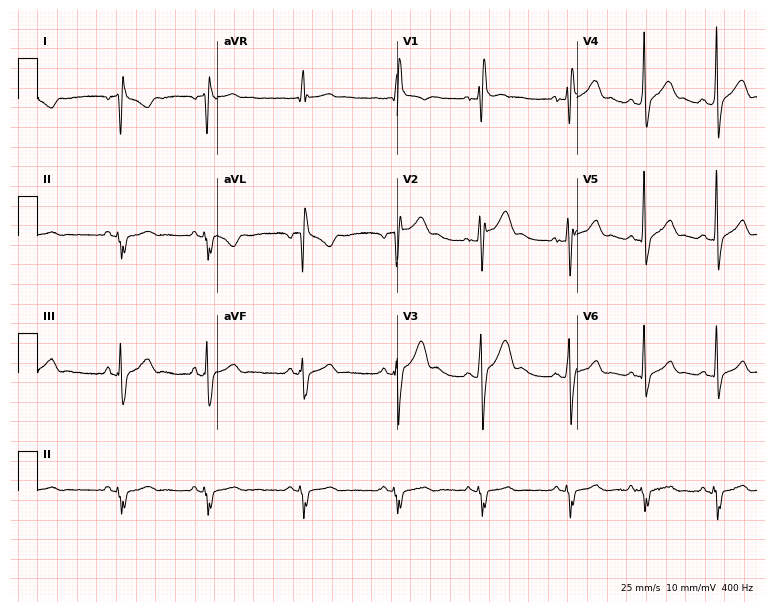
Resting 12-lead electrocardiogram. Patient: a man, 17 years old. None of these six findings is recorded: first-degree AV block, right bundle branch block, left bundle branch block, sinus bradycardia, atrial fibrillation, sinus tachycardia. Other findings, if any, are not listed.